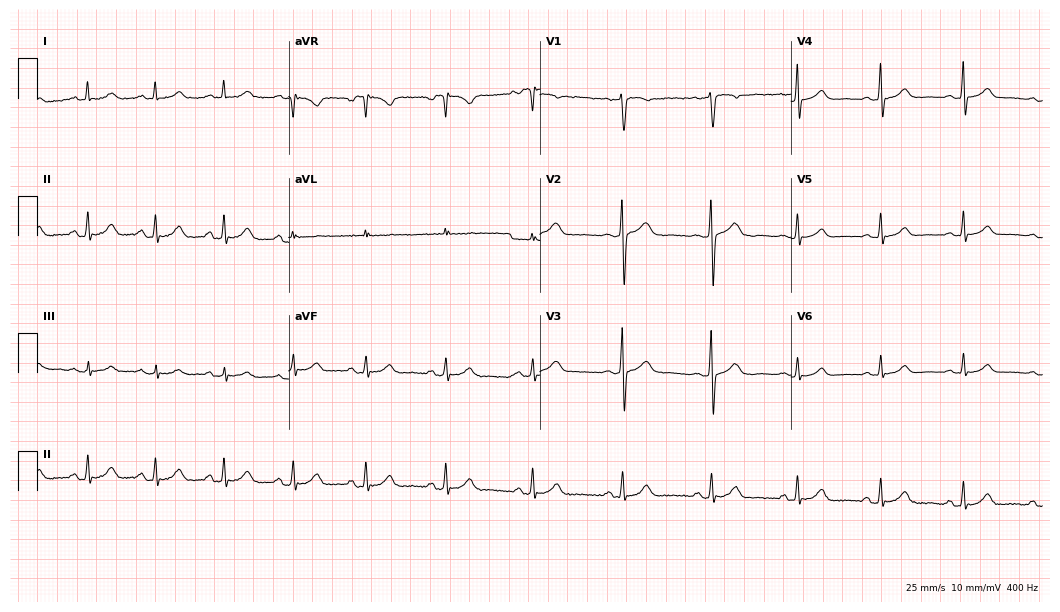
12-lead ECG (10.2-second recording at 400 Hz) from a 17-year-old female. Labelled as a normal ECG.